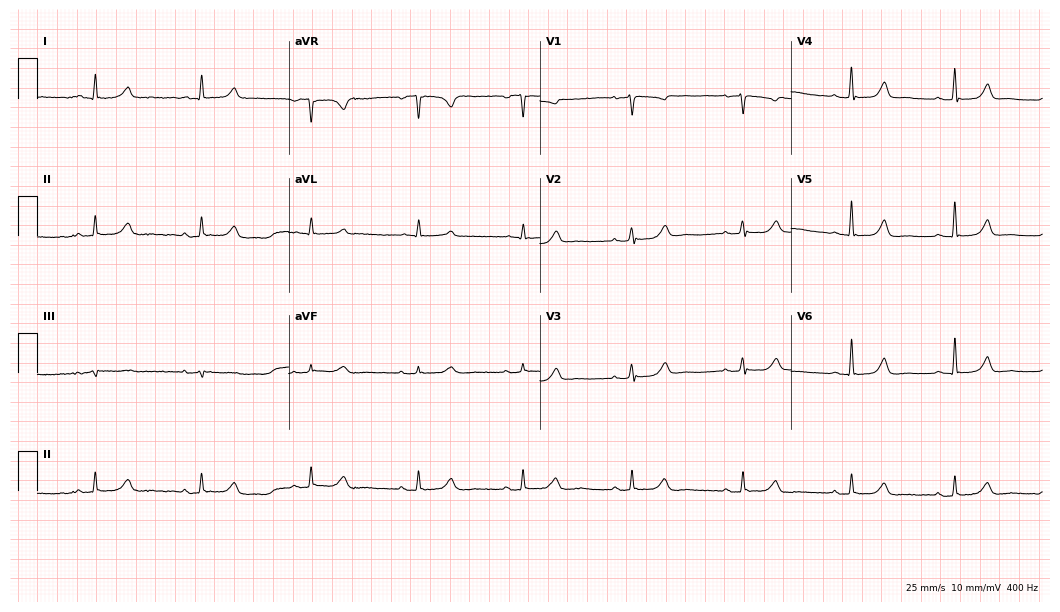
Electrocardiogram, a female patient, 55 years old. Overall reading on record: normal ECG.